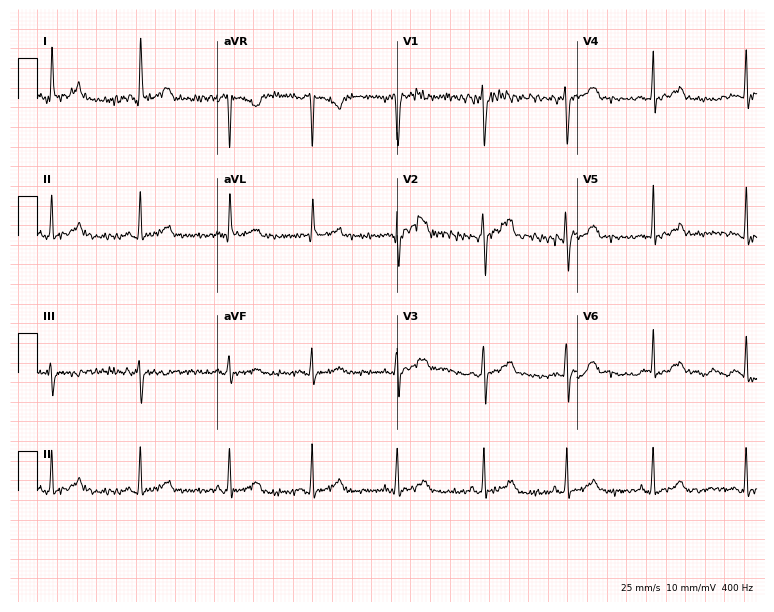
Resting 12-lead electrocardiogram (7.3-second recording at 400 Hz). Patient: a woman, 47 years old. Read as a normal ECG.